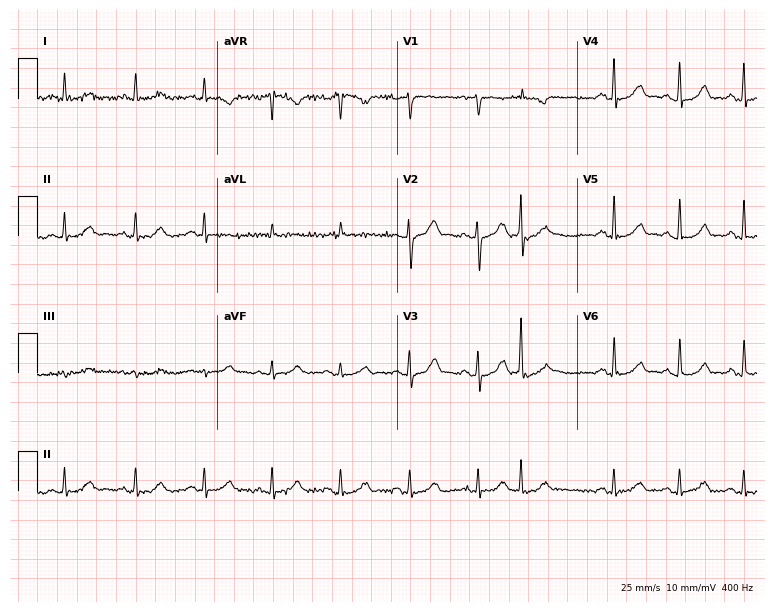
ECG (7.3-second recording at 400 Hz) — a 61-year-old female patient. Labelled as a normal ECG.